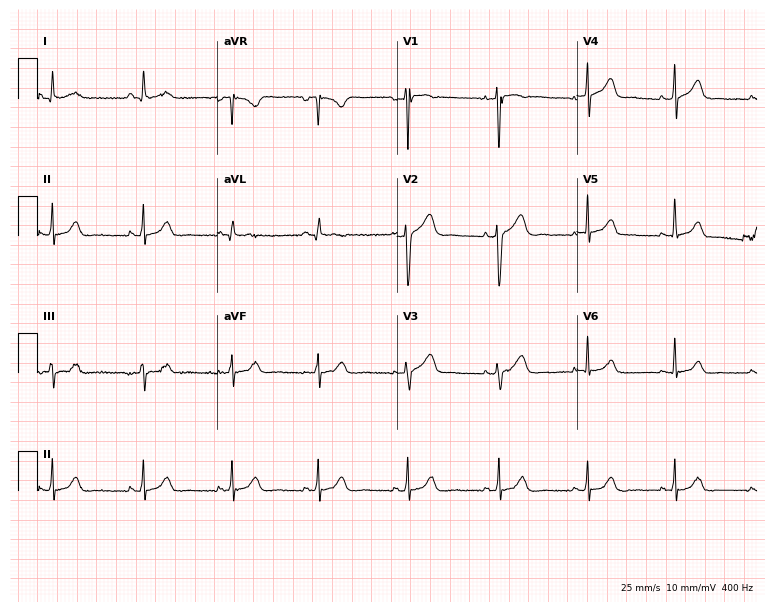
Electrocardiogram (7.3-second recording at 400 Hz), a 40-year-old female patient. Overall reading on record: normal ECG.